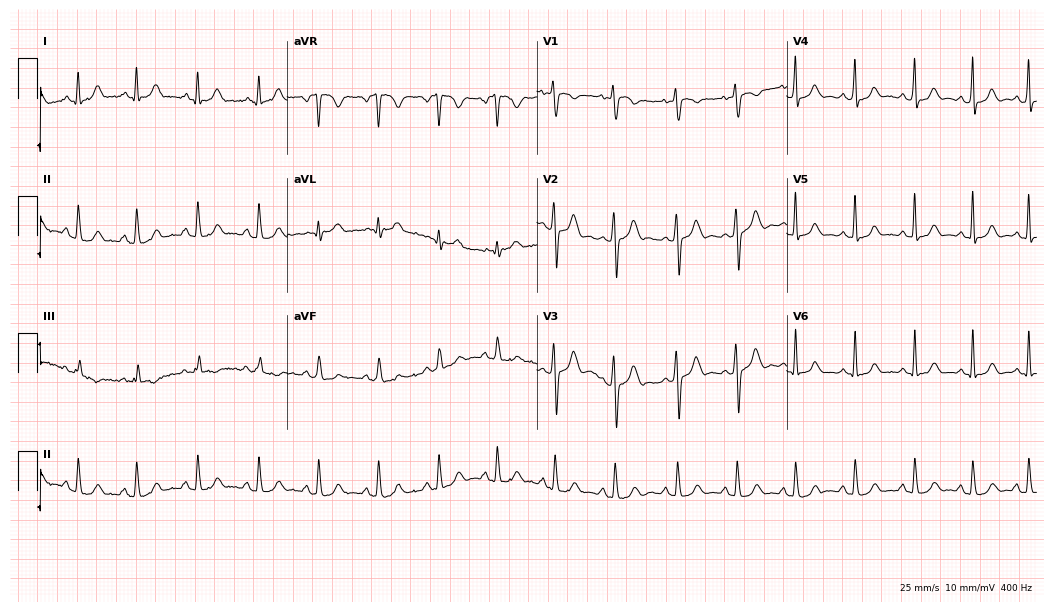
12-lead ECG from a 21-year-old female patient. No first-degree AV block, right bundle branch block, left bundle branch block, sinus bradycardia, atrial fibrillation or sinus tachycardia recorded for this tracing. Only these six findings were labelled.